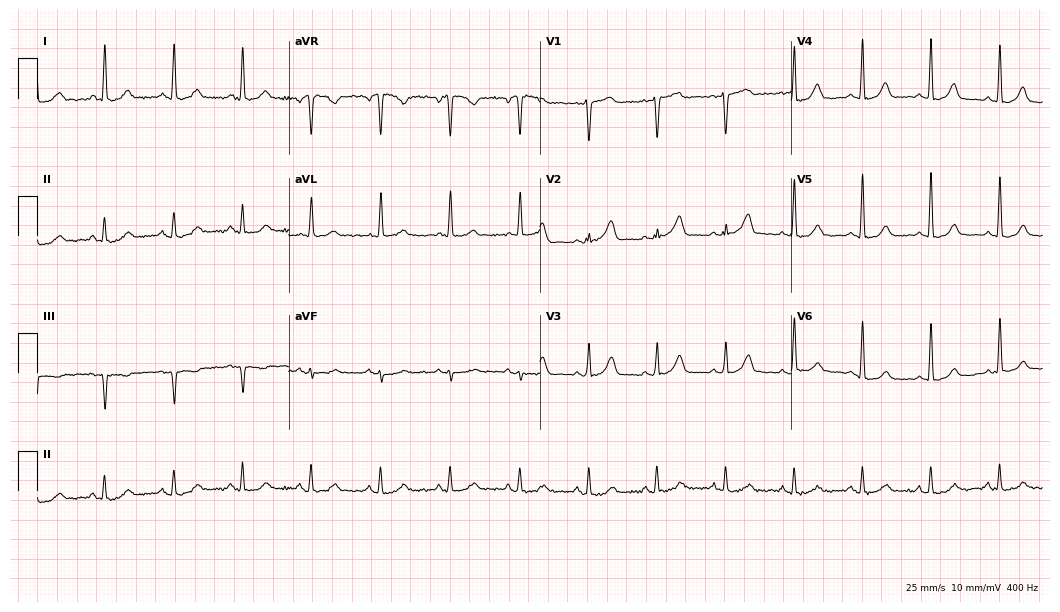
Resting 12-lead electrocardiogram. Patient: a 72-year-old female. Read as a normal ECG.